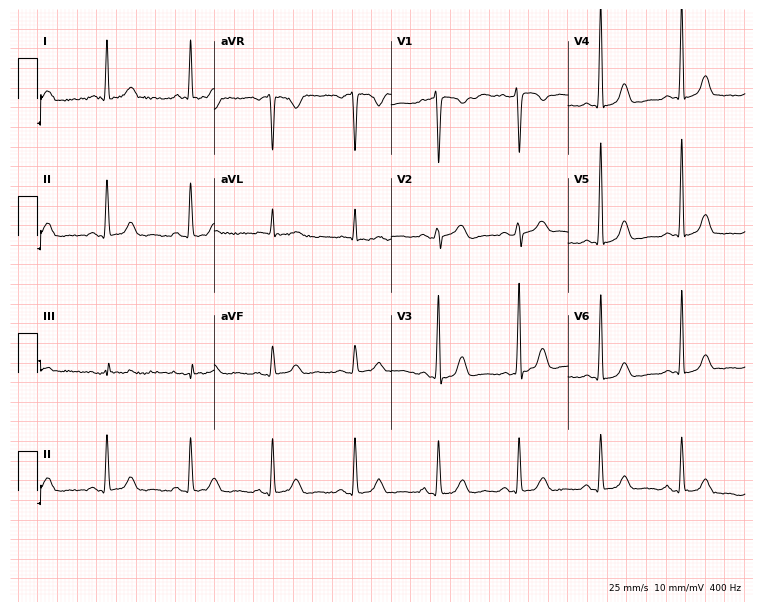
ECG (7.2-second recording at 400 Hz) — a 50-year-old female patient. Labelled as a normal ECG.